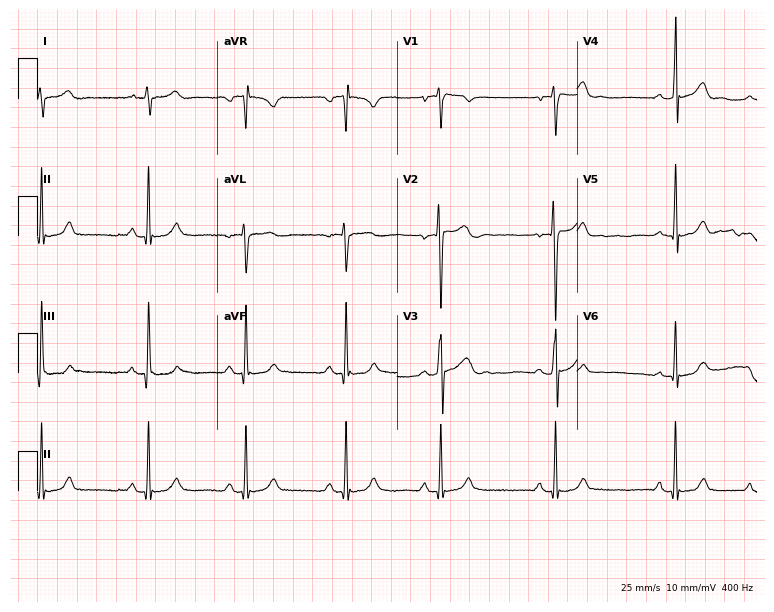
12-lead ECG from a male patient, 18 years old (7.3-second recording at 400 Hz). Recorded interpretation: within normal limits.